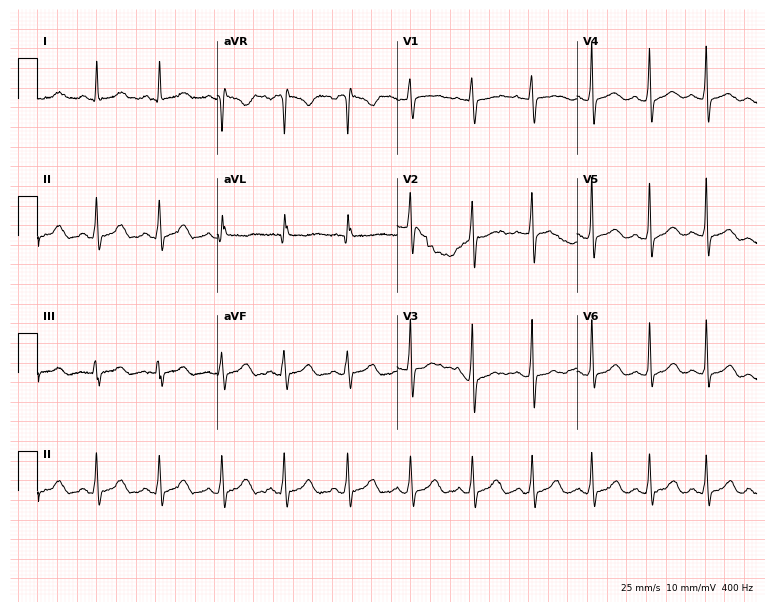
12-lead ECG (7.3-second recording at 400 Hz) from a 30-year-old woman. Labelled as a normal ECG.